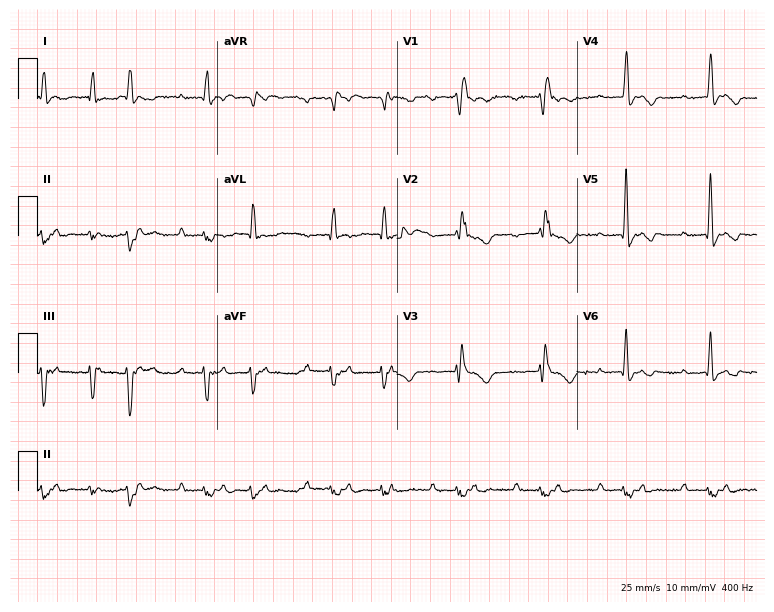
12-lead ECG from a male patient, 50 years old (7.3-second recording at 400 Hz). Shows first-degree AV block.